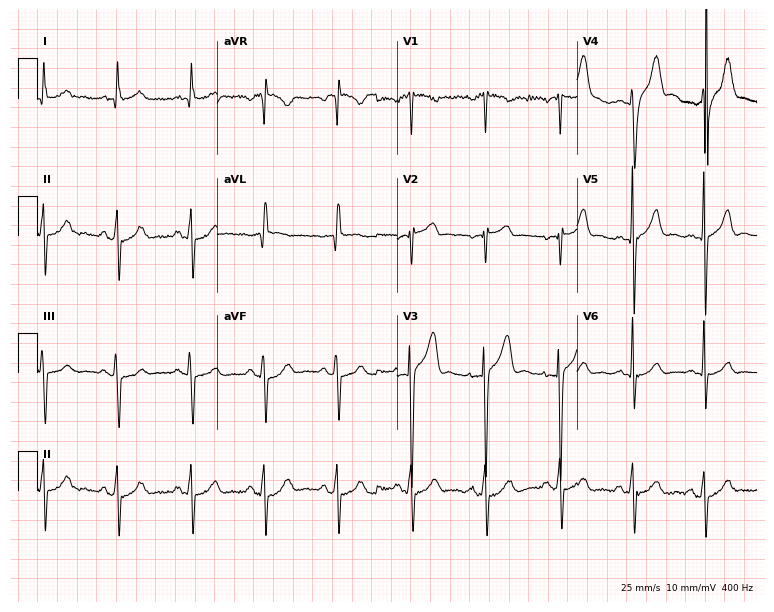
12-lead ECG from a 39-year-old male. Screened for six findings — first-degree AV block, right bundle branch block, left bundle branch block, sinus bradycardia, atrial fibrillation, sinus tachycardia — none is recorded. Only these six findings were labelled.